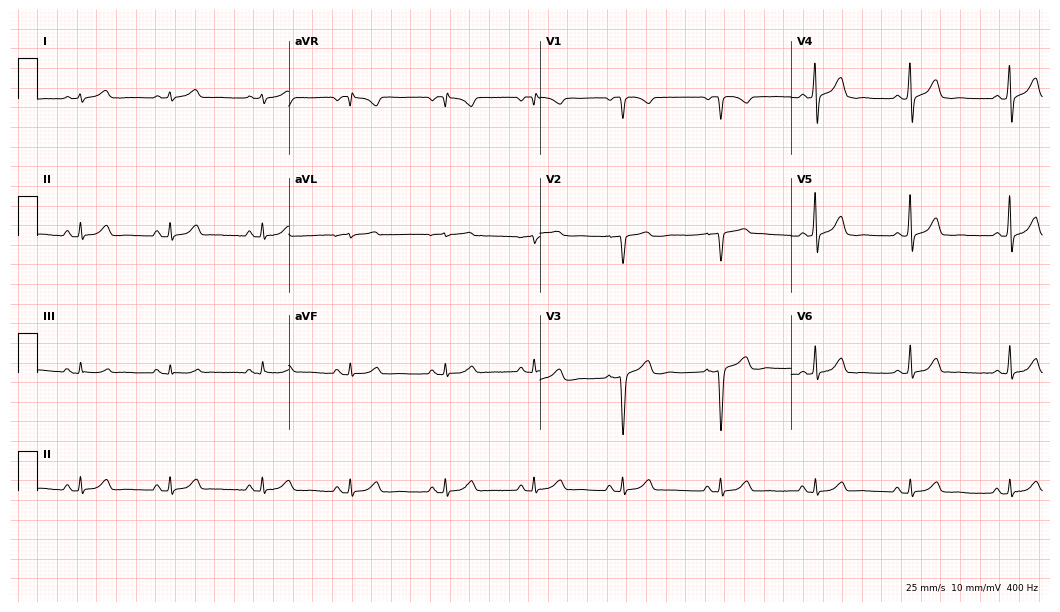
12-lead ECG from a 48-year-old female (10.2-second recording at 400 Hz). No first-degree AV block, right bundle branch block (RBBB), left bundle branch block (LBBB), sinus bradycardia, atrial fibrillation (AF) or sinus tachycardia recorded for this tracing. Other findings, if any, are not listed.